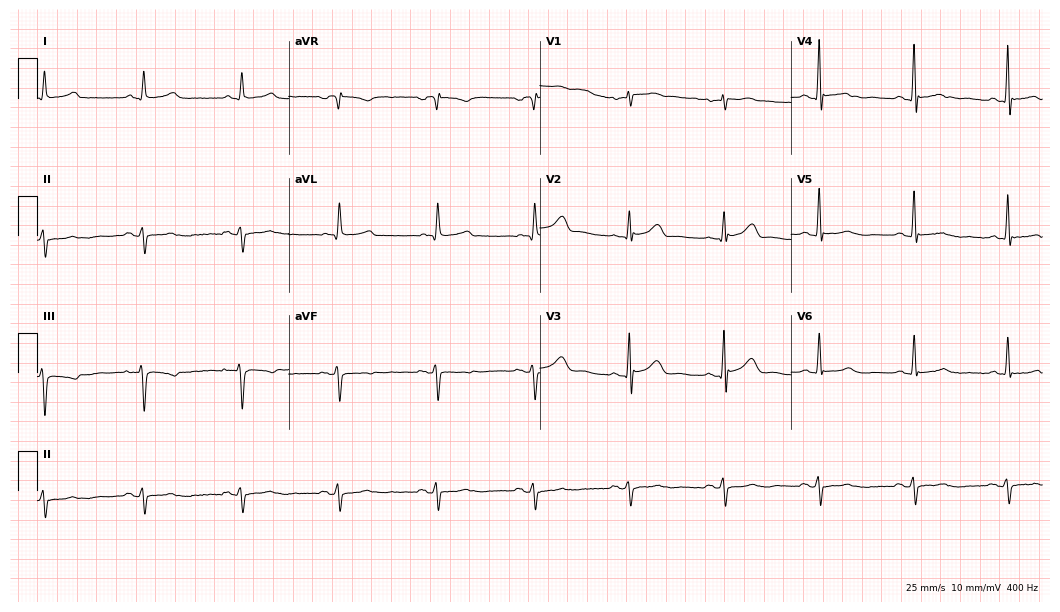
Electrocardiogram (10.2-second recording at 400 Hz), a male patient, 65 years old. Overall reading on record: normal ECG.